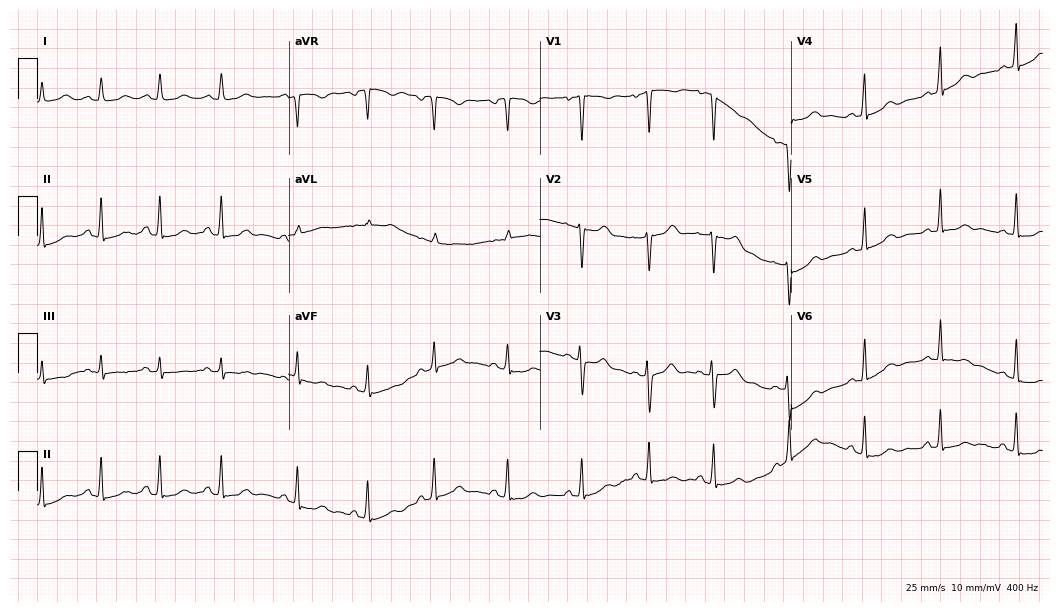
Electrocardiogram (10.2-second recording at 400 Hz), a 19-year-old female. Of the six screened findings (first-degree AV block, right bundle branch block, left bundle branch block, sinus bradycardia, atrial fibrillation, sinus tachycardia), none is recorded. Only these six findings were labelled.